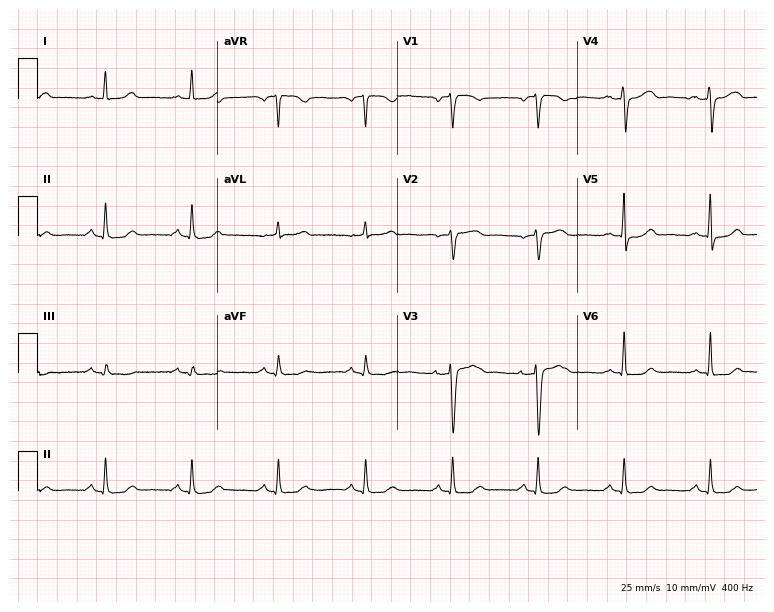
Standard 12-lead ECG recorded from a female patient, 55 years old (7.3-second recording at 400 Hz). Read as a normal ECG.